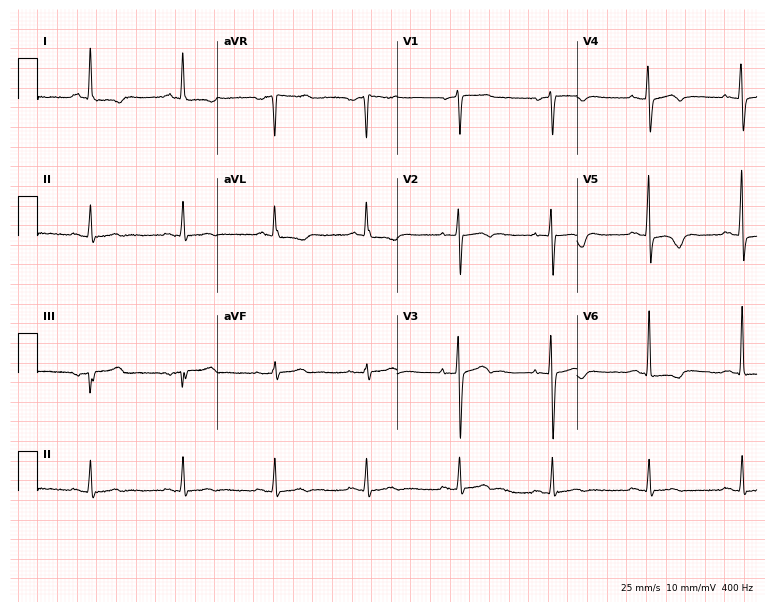
Resting 12-lead electrocardiogram (7.3-second recording at 400 Hz). Patient: a female, 69 years old. None of these six findings is recorded: first-degree AV block, right bundle branch block, left bundle branch block, sinus bradycardia, atrial fibrillation, sinus tachycardia. Other findings, if any, are not listed.